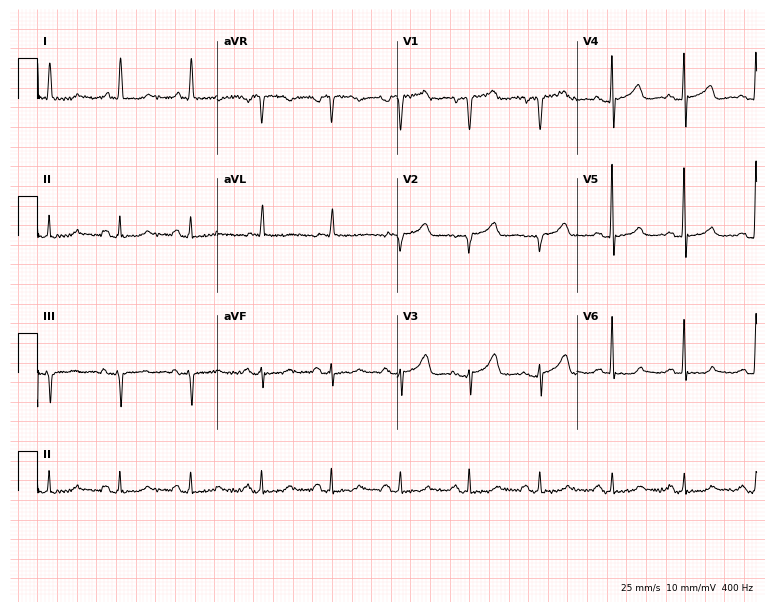
Electrocardiogram (7.3-second recording at 400 Hz), a female patient, 78 years old. Of the six screened findings (first-degree AV block, right bundle branch block (RBBB), left bundle branch block (LBBB), sinus bradycardia, atrial fibrillation (AF), sinus tachycardia), none is recorded. Other findings, if any, are not listed.